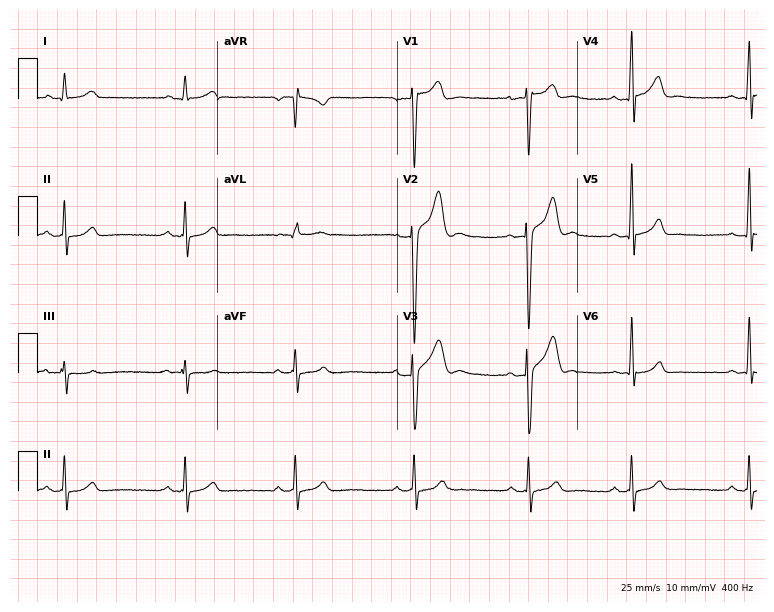
Resting 12-lead electrocardiogram (7.3-second recording at 400 Hz). Patient: a male, 24 years old. None of these six findings is recorded: first-degree AV block, right bundle branch block, left bundle branch block, sinus bradycardia, atrial fibrillation, sinus tachycardia. Only these six findings were labelled.